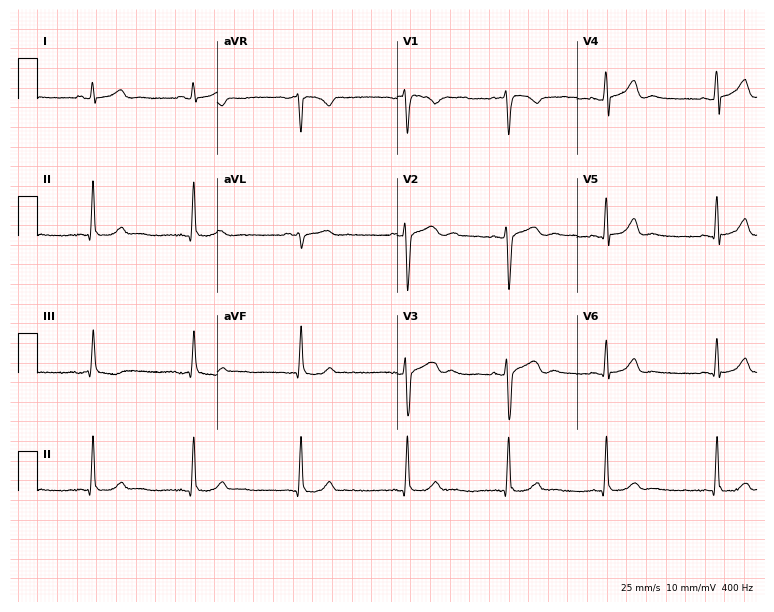
ECG — a 31-year-old female. Screened for six findings — first-degree AV block, right bundle branch block (RBBB), left bundle branch block (LBBB), sinus bradycardia, atrial fibrillation (AF), sinus tachycardia — none is recorded. Findings outside these six are not listed.